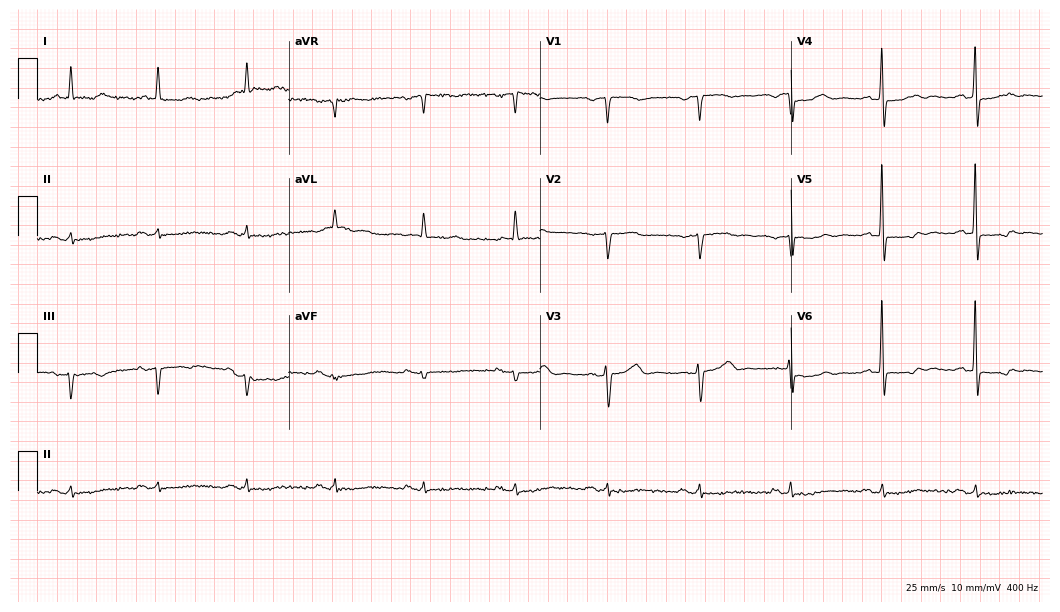
Standard 12-lead ECG recorded from a male, 83 years old. None of these six findings is recorded: first-degree AV block, right bundle branch block (RBBB), left bundle branch block (LBBB), sinus bradycardia, atrial fibrillation (AF), sinus tachycardia.